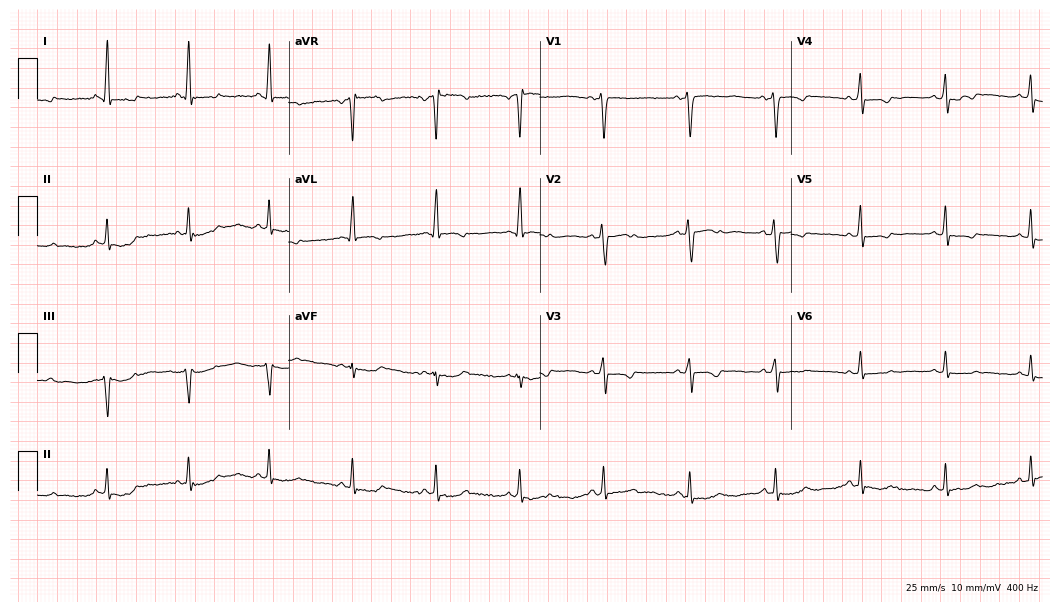
Resting 12-lead electrocardiogram. Patient: a 39-year-old woman. None of these six findings is recorded: first-degree AV block, right bundle branch block, left bundle branch block, sinus bradycardia, atrial fibrillation, sinus tachycardia. Findings outside these six are not listed.